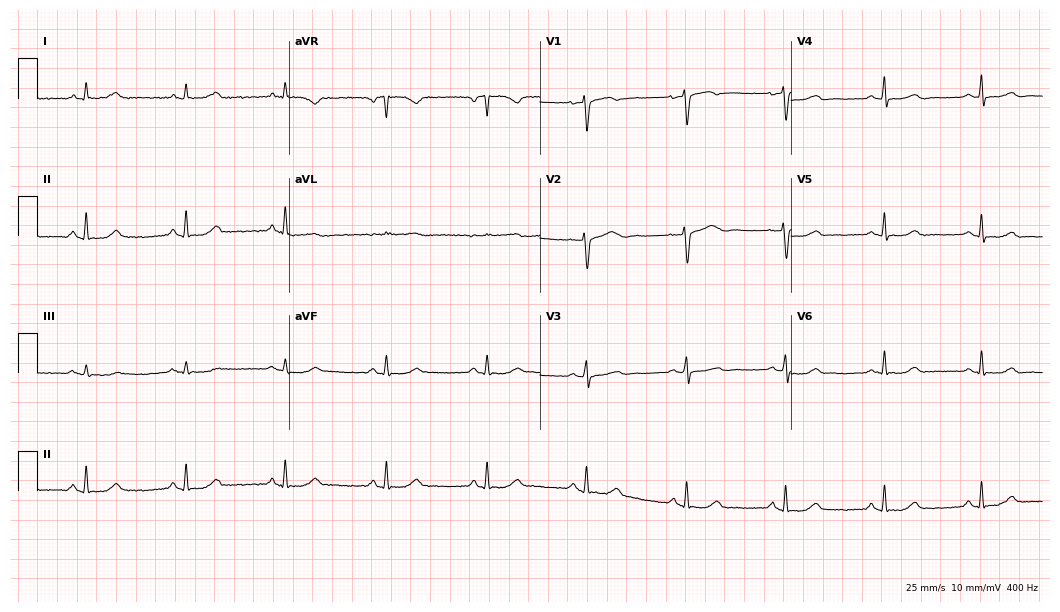
Standard 12-lead ECG recorded from a female, 49 years old (10.2-second recording at 400 Hz). Read as a normal ECG.